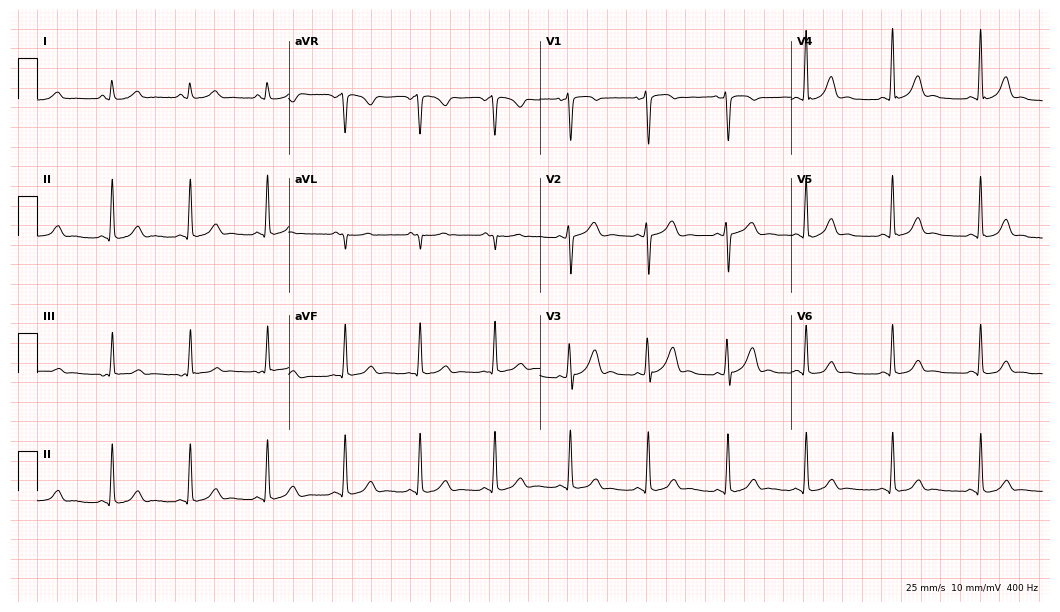
Electrocardiogram, a 30-year-old woman. Of the six screened findings (first-degree AV block, right bundle branch block, left bundle branch block, sinus bradycardia, atrial fibrillation, sinus tachycardia), none is recorded.